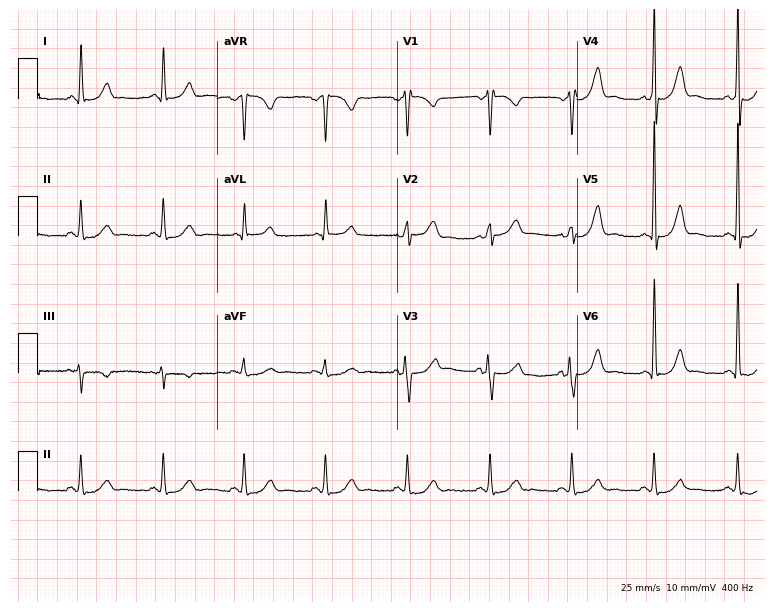
Standard 12-lead ECG recorded from a man, 49 years old. None of these six findings is recorded: first-degree AV block, right bundle branch block, left bundle branch block, sinus bradycardia, atrial fibrillation, sinus tachycardia. Only these six findings were labelled.